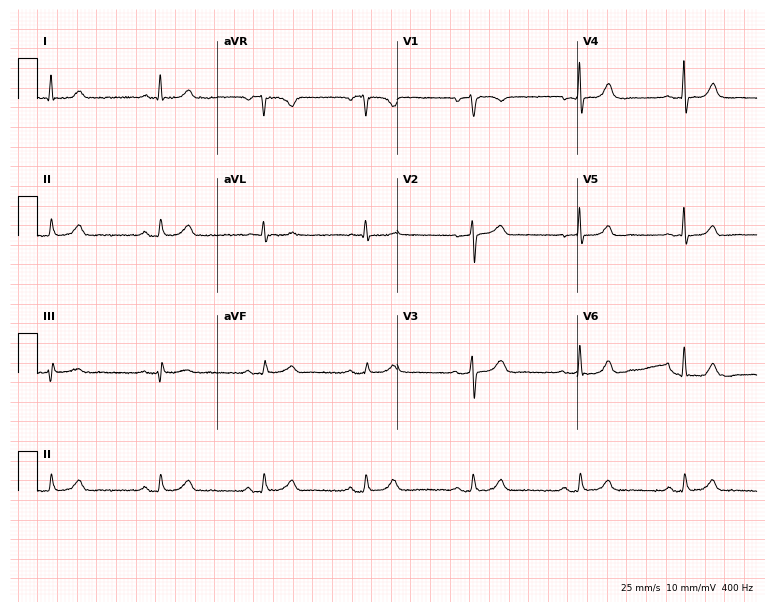
ECG (7.3-second recording at 400 Hz) — a 69-year-old man. Labelled as a normal ECG.